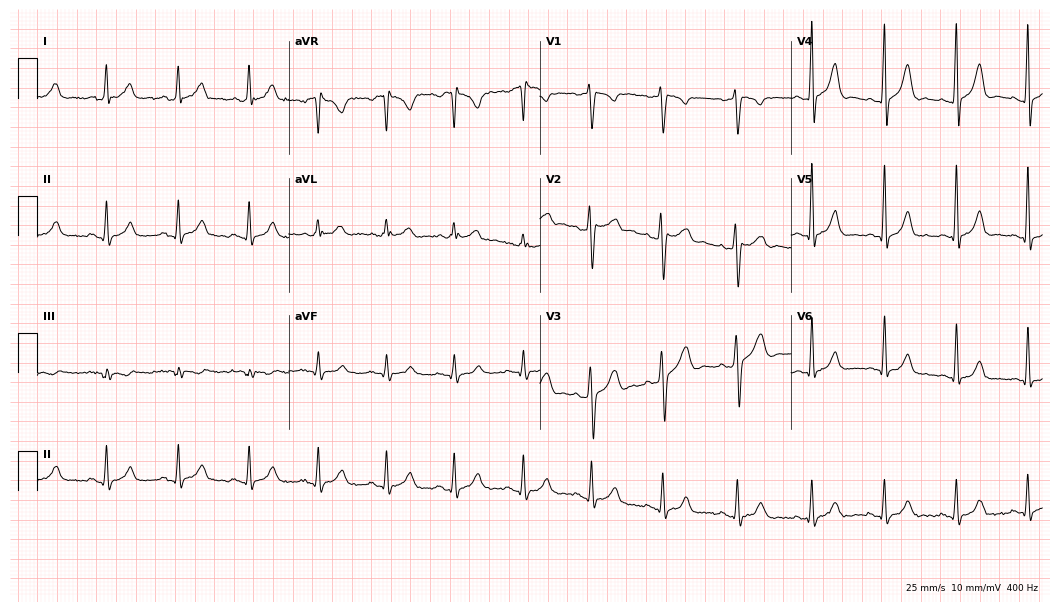
12-lead ECG (10.2-second recording at 400 Hz) from a man, 25 years old. Labelled as a normal ECG.